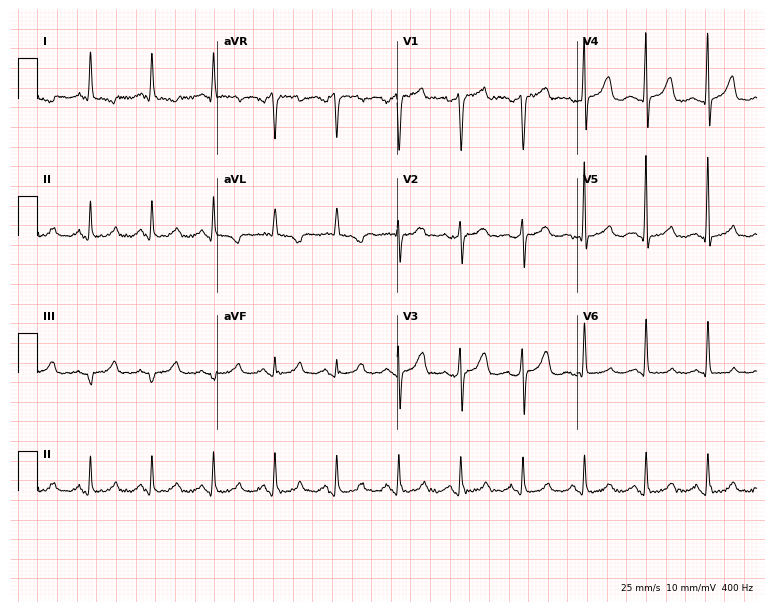
Standard 12-lead ECG recorded from a 60-year-old female. None of these six findings is recorded: first-degree AV block, right bundle branch block, left bundle branch block, sinus bradycardia, atrial fibrillation, sinus tachycardia. Other findings, if any, are not listed.